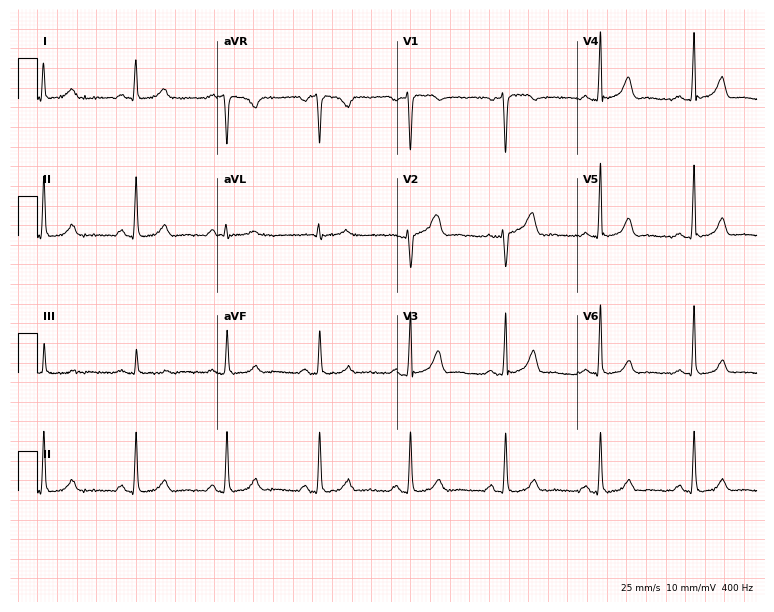
Electrocardiogram (7.3-second recording at 400 Hz), a 54-year-old female patient. Overall reading on record: normal ECG.